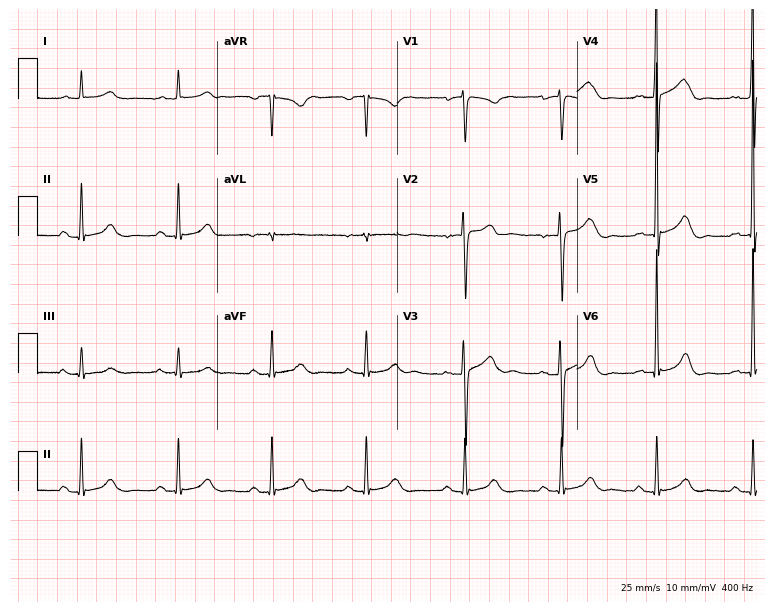
Standard 12-lead ECG recorded from a female, 72 years old (7.3-second recording at 400 Hz). Read as a normal ECG.